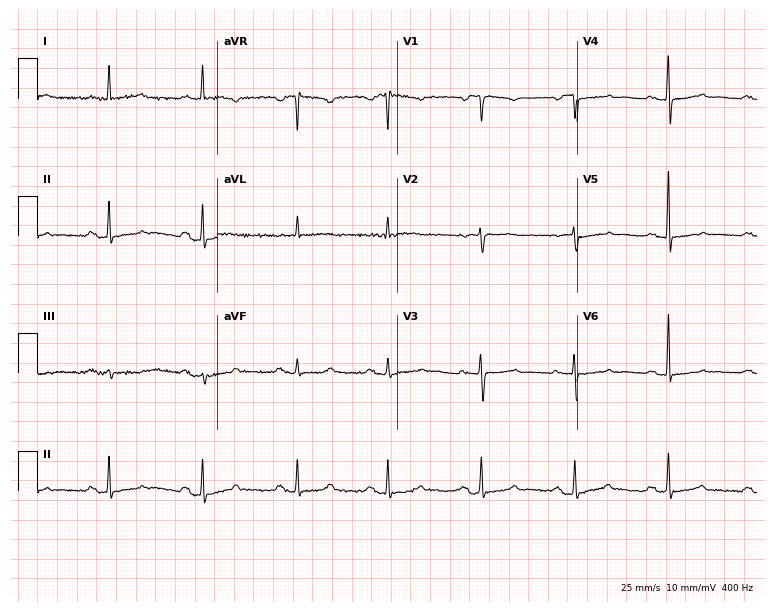
12-lead ECG from a female patient, 75 years old. No first-degree AV block, right bundle branch block (RBBB), left bundle branch block (LBBB), sinus bradycardia, atrial fibrillation (AF) or sinus tachycardia recorded for this tracing.